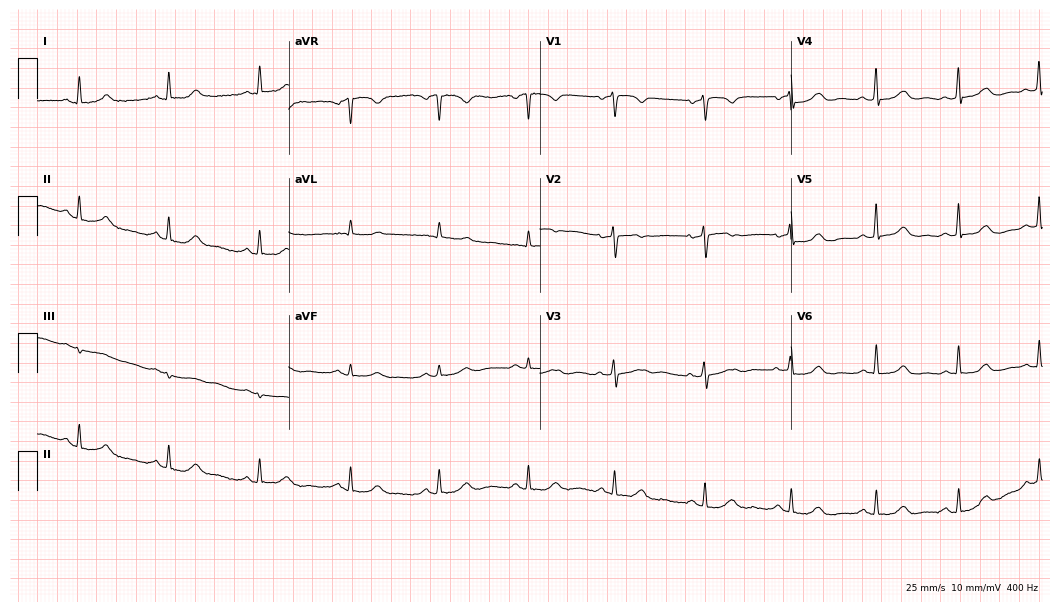
ECG (10.2-second recording at 400 Hz) — a 72-year-old woman. Labelled as a normal ECG.